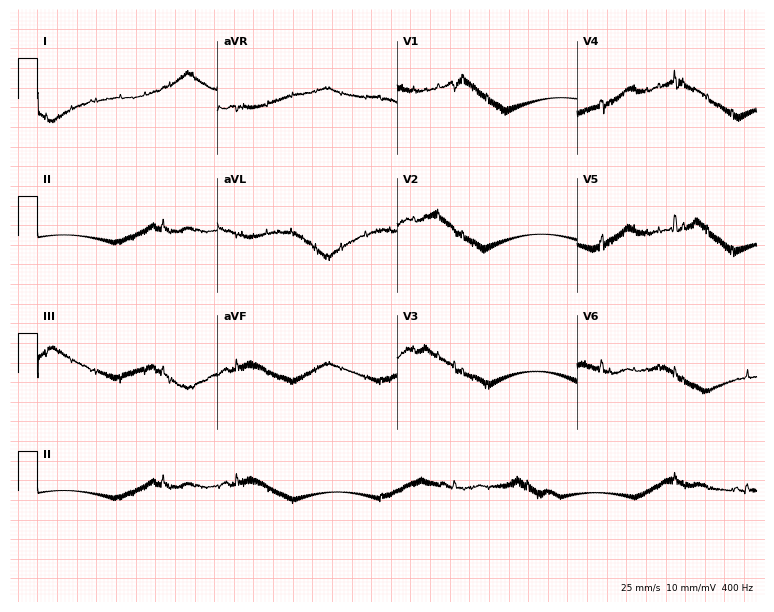
Standard 12-lead ECG recorded from a female patient, 68 years old. None of these six findings is recorded: first-degree AV block, right bundle branch block, left bundle branch block, sinus bradycardia, atrial fibrillation, sinus tachycardia. Findings outside these six are not listed.